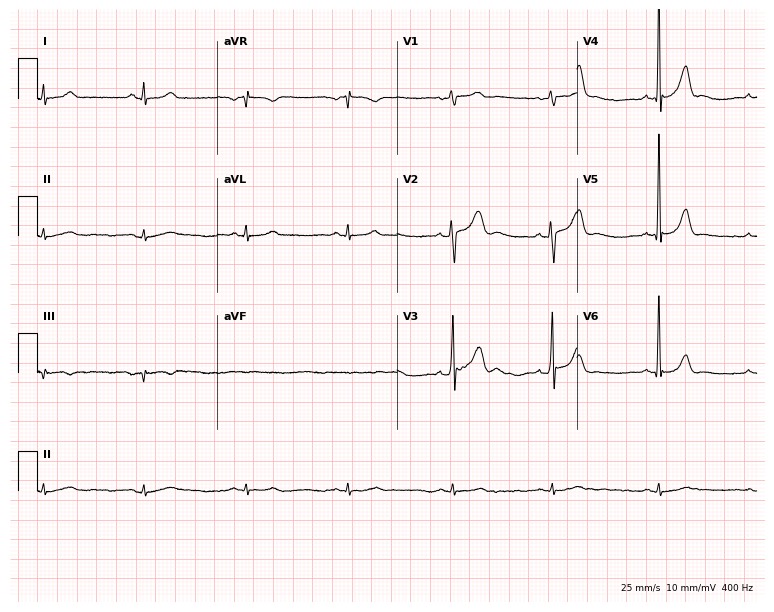
12-lead ECG from a 19-year-old female. Labelled as a normal ECG.